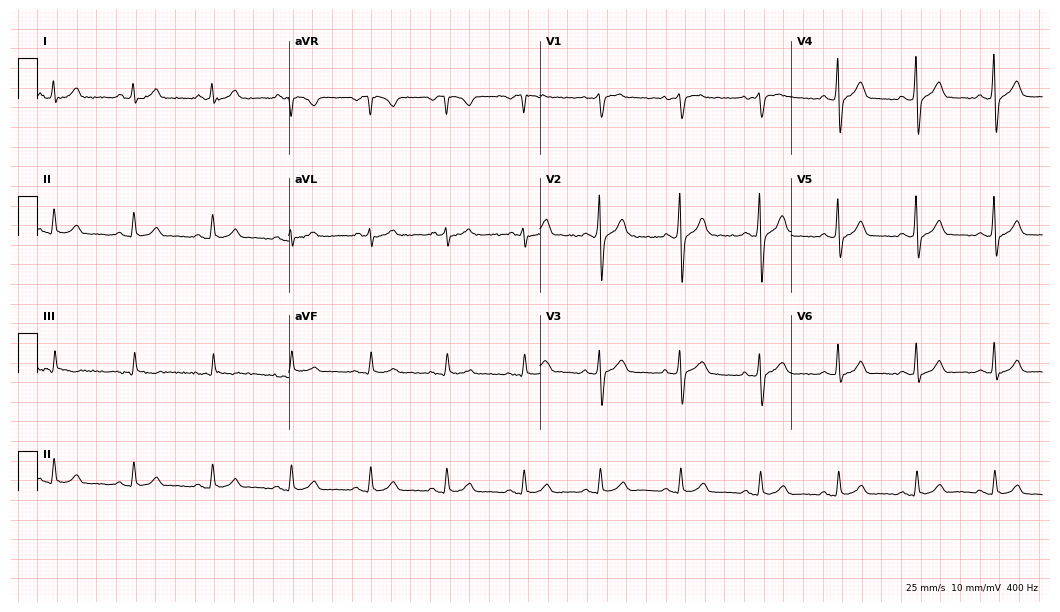
12-lead ECG from a man, 42 years old. Recorded interpretation: within normal limits.